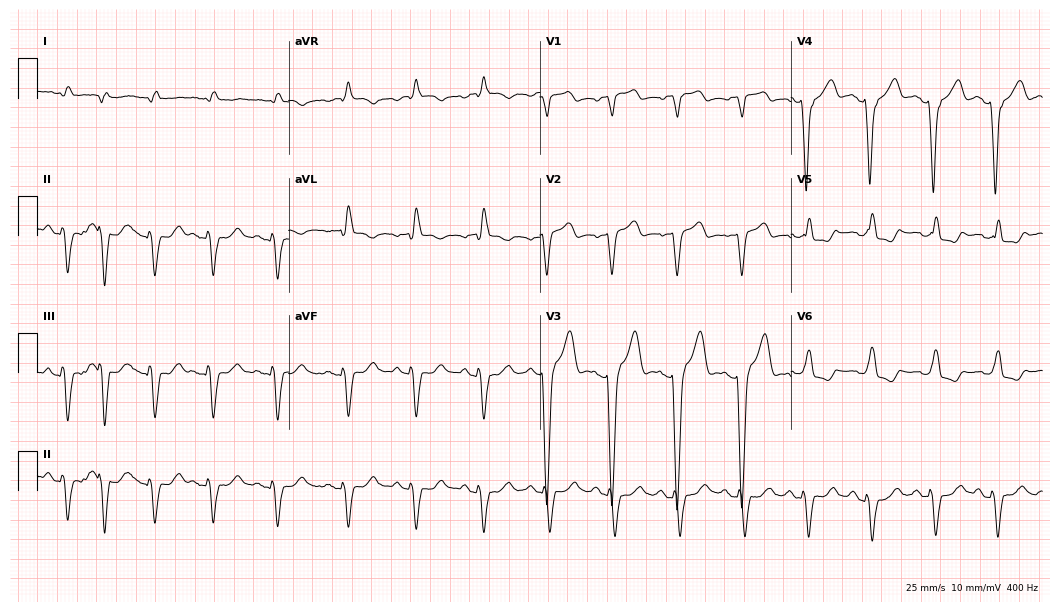
Resting 12-lead electrocardiogram. Patient: a female, 85 years old. None of these six findings is recorded: first-degree AV block, right bundle branch block, left bundle branch block, sinus bradycardia, atrial fibrillation, sinus tachycardia. Findings outside these six are not listed.